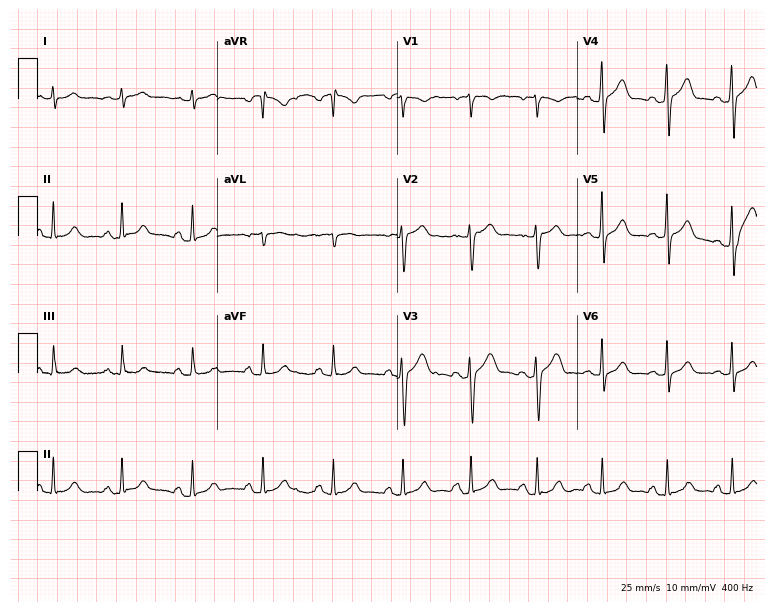
Electrocardiogram (7.3-second recording at 400 Hz), a 32-year-old male patient. Overall reading on record: normal ECG.